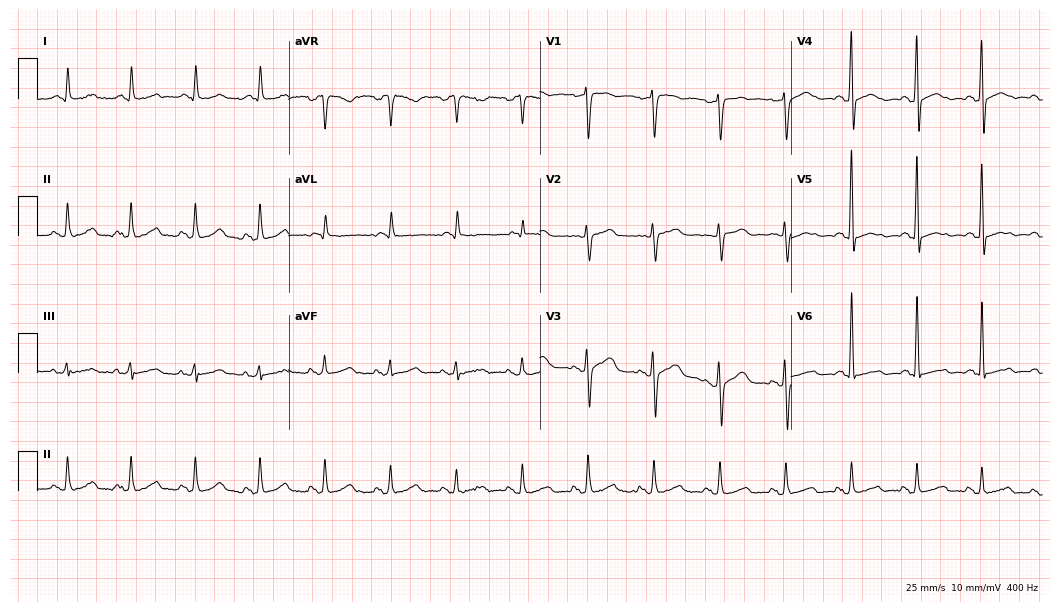
12-lead ECG from a female, 69 years old (10.2-second recording at 400 Hz). Recorded interpretation: within normal limits.